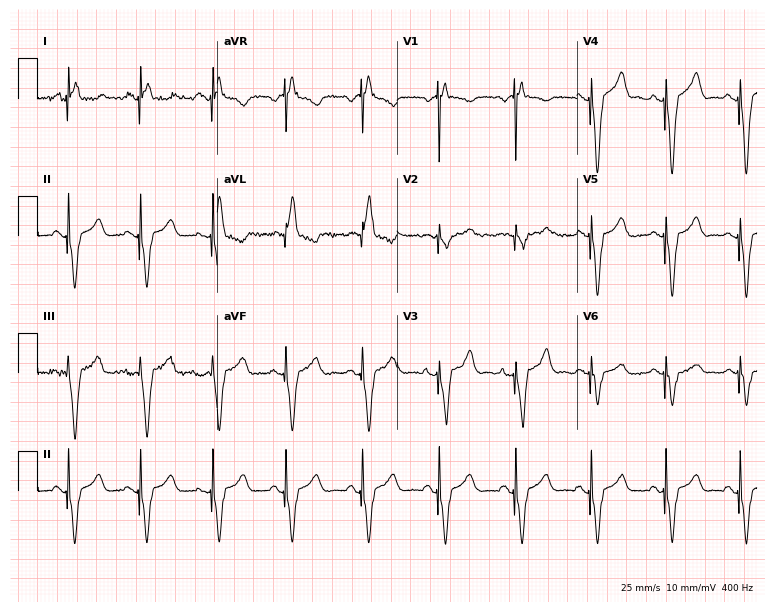
Electrocardiogram (7.3-second recording at 400 Hz), a 51-year-old woman. Of the six screened findings (first-degree AV block, right bundle branch block (RBBB), left bundle branch block (LBBB), sinus bradycardia, atrial fibrillation (AF), sinus tachycardia), none is recorded.